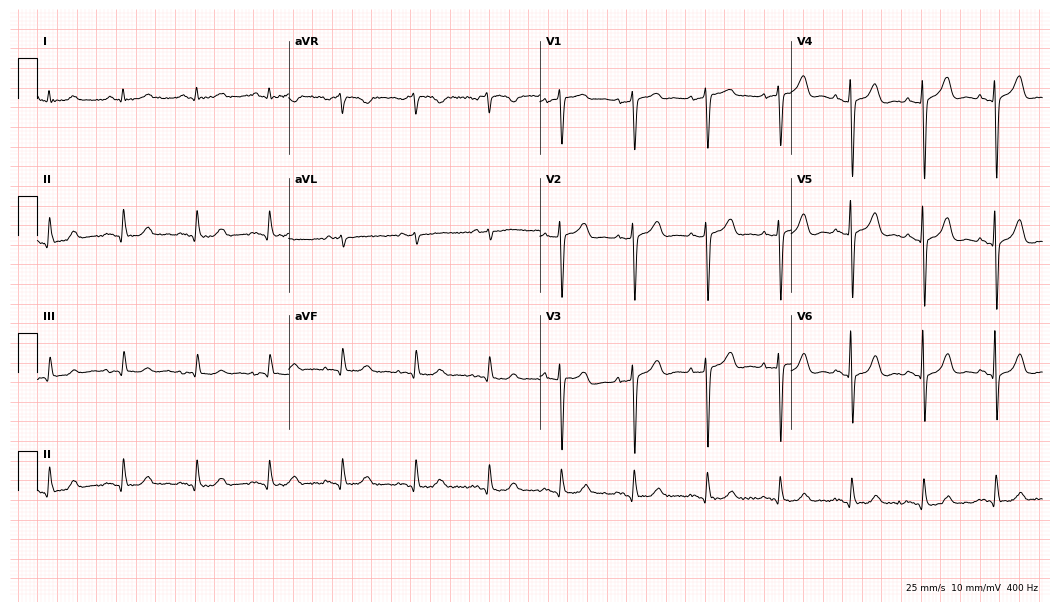
12-lead ECG (10.2-second recording at 400 Hz) from a woman, 81 years old. Screened for six findings — first-degree AV block, right bundle branch block, left bundle branch block, sinus bradycardia, atrial fibrillation, sinus tachycardia — none is recorded. Other findings, if any, are not listed.